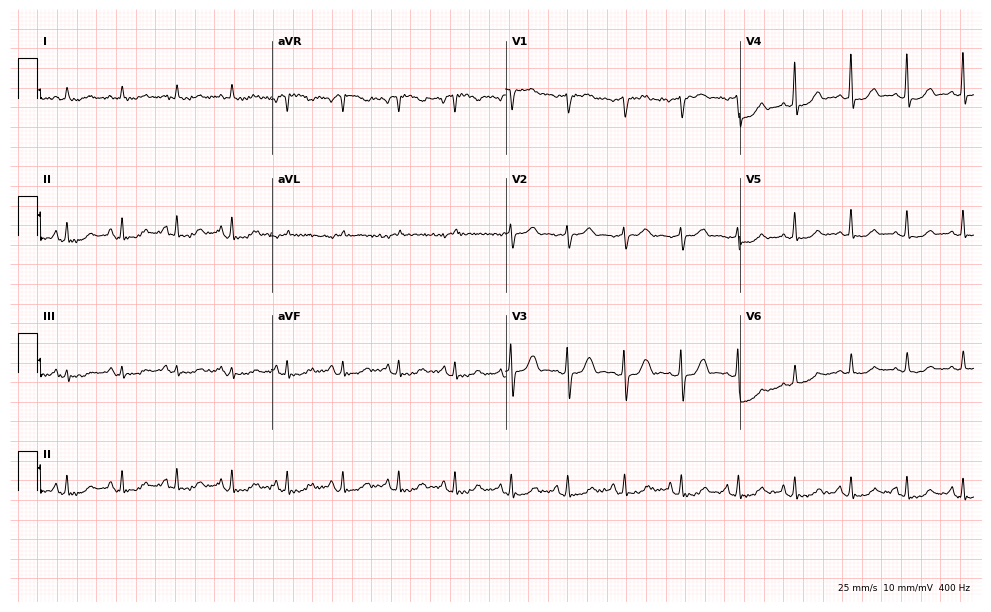
Electrocardiogram (9.5-second recording at 400 Hz), a woman, 74 years old. Interpretation includes sinus tachycardia (a sinus rate of 100 beats per minute or more).